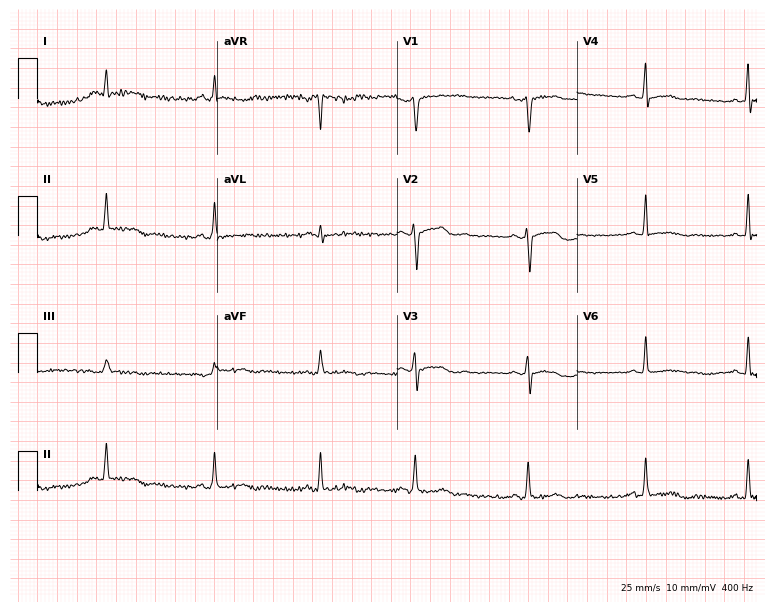
ECG (7.3-second recording at 400 Hz) — a female patient, 26 years old. Screened for six findings — first-degree AV block, right bundle branch block (RBBB), left bundle branch block (LBBB), sinus bradycardia, atrial fibrillation (AF), sinus tachycardia — none is recorded. Only these six findings were labelled.